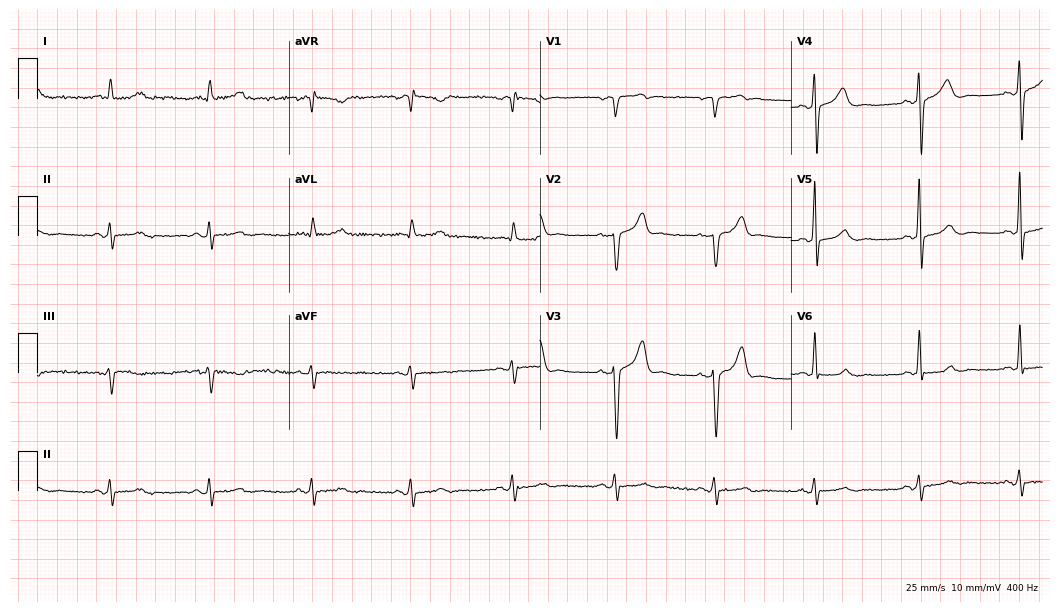
Electrocardiogram (10.2-second recording at 400 Hz), a 69-year-old male. Of the six screened findings (first-degree AV block, right bundle branch block (RBBB), left bundle branch block (LBBB), sinus bradycardia, atrial fibrillation (AF), sinus tachycardia), none is recorded. Only these six findings were labelled.